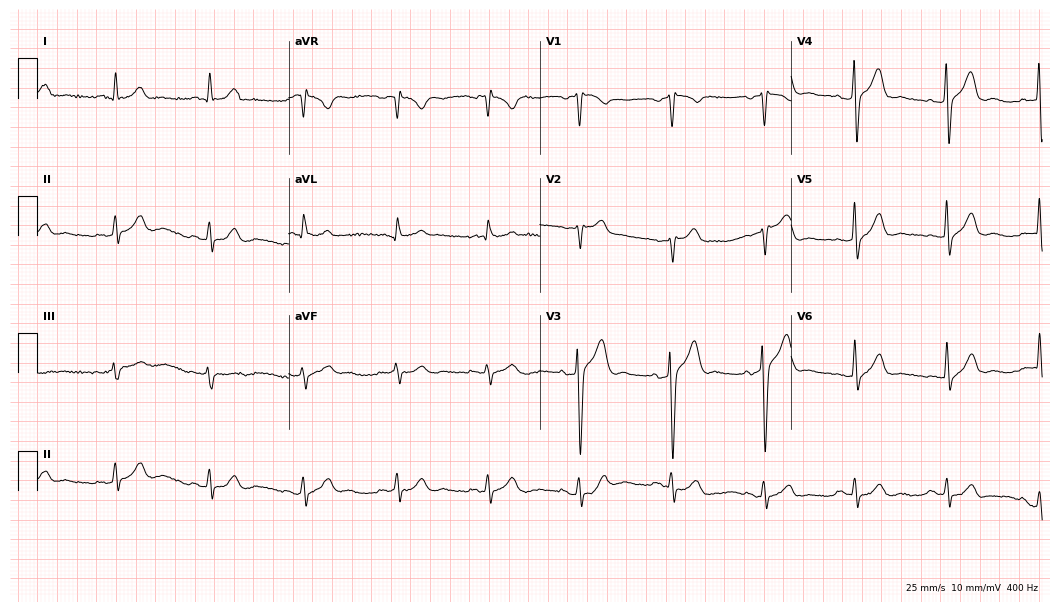
12-lead ECG from a 61-year-old male patient. Screened for six findings — first-degree AV block, right bundle branch block, left bundle branch block, sinus bradycardia, atrial fibrillation, sinus tachycardia — none is recorded. Only these six findings were labelled.